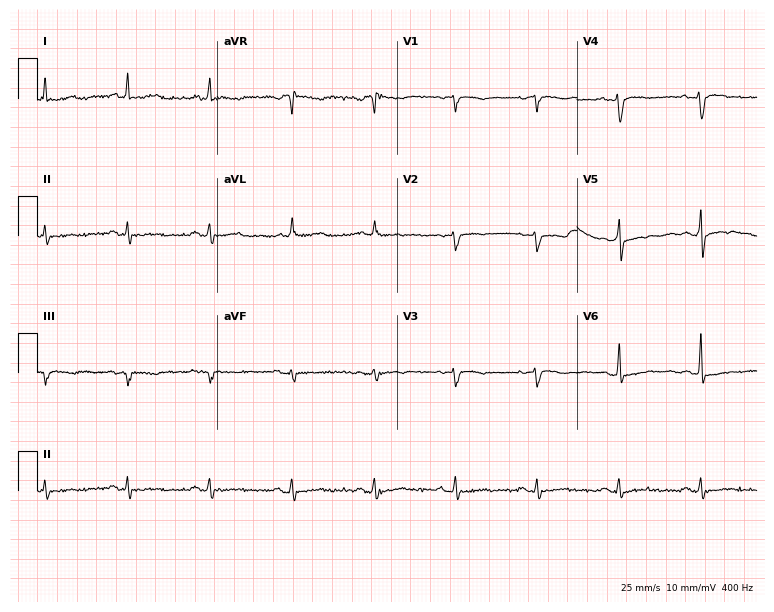
12-lead ECG (7.3-second recording at 400 Hz) from an 85-year-old female. Screened for six findings — first-degree AV block, right bundle branch block (RBBB), left bundle branch block (LBBB), sinus bradycardia, atrial fibrillation (AF), sinus tachycardia — none is recorded.